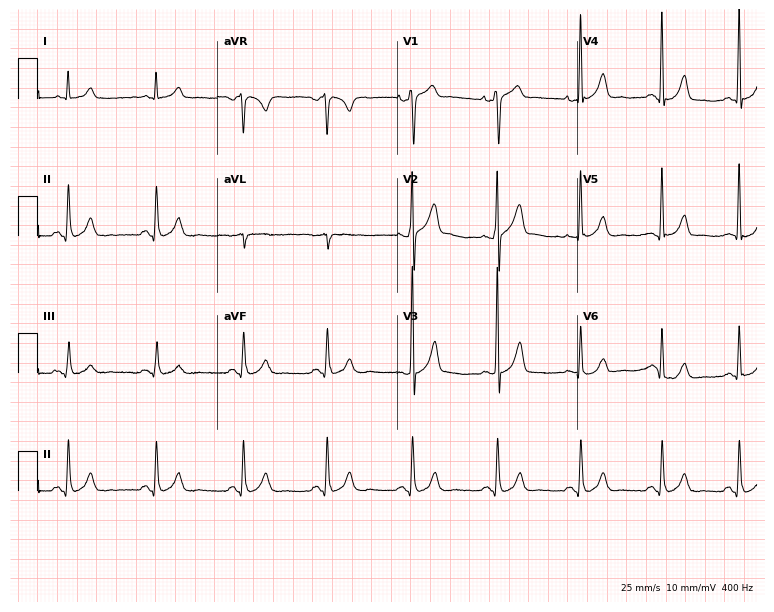
Resting 12-lead electrocardiogram. Patient: a male, 52 years old. Read as a normal ECG.